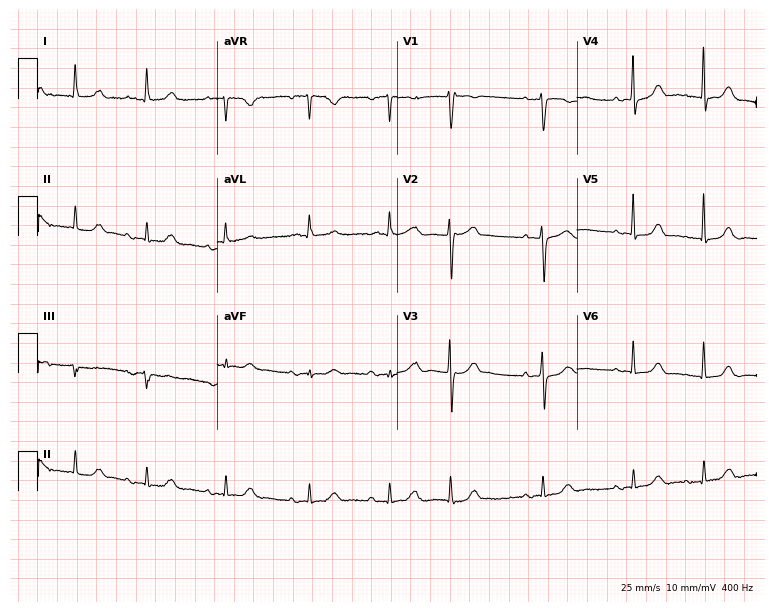
Resting 12-lead electrocardiogram (7.3-second recording at 400 Hz). Patient: an 80-year-old woman. None of these six findings is recorded: first-degree AV block, right bundle branch block, left bundle branch block, sinus bradycardia, atrial fibrillation, sinus tachycardia. Only these six findings were labelled.